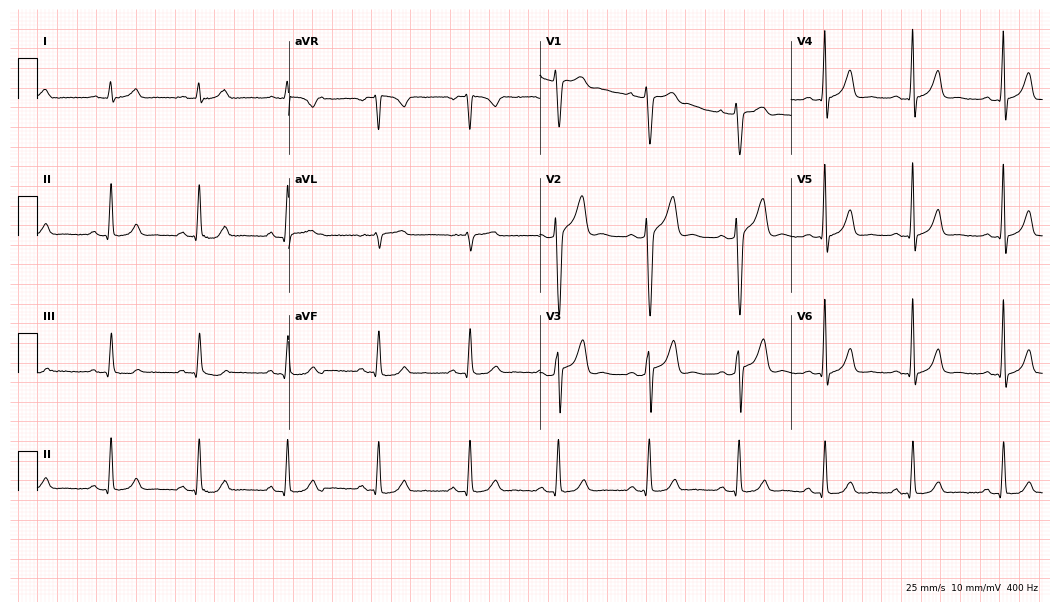
Standard 12-lead ECG recorded from a 46-year-old male patient. None of these six findings is recorded: first-degree AV block, right bundle branch block, left bundle branch block, sinus bradycardia, atrial fibrillation, sinus tachycardia.